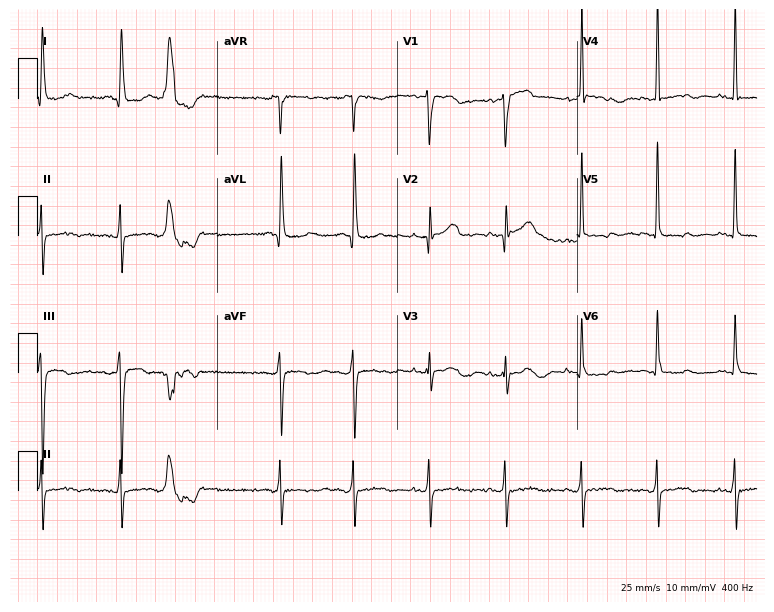
ECG (7.3-second recording at 400 Hz) — a woman, 67 years old. Screened for six findings — first-degree AV block, right bundle branch block (RBBB), left bundle branch block (LBBB), sinus bradycardia, atrial fibrillation (AF), sinus tachycardia — none is recorded. Other findings, if any, are not listed.